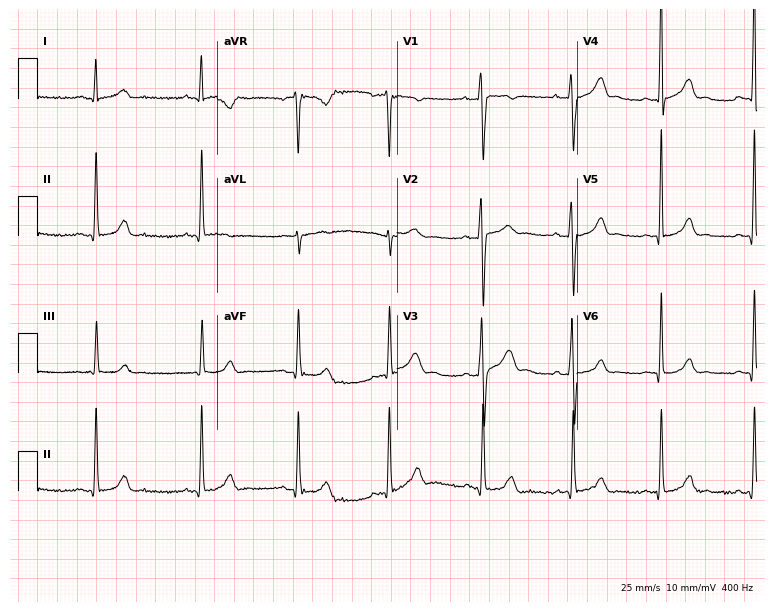
ECG — a 25-year-old man. Labelled as a normal ECG.